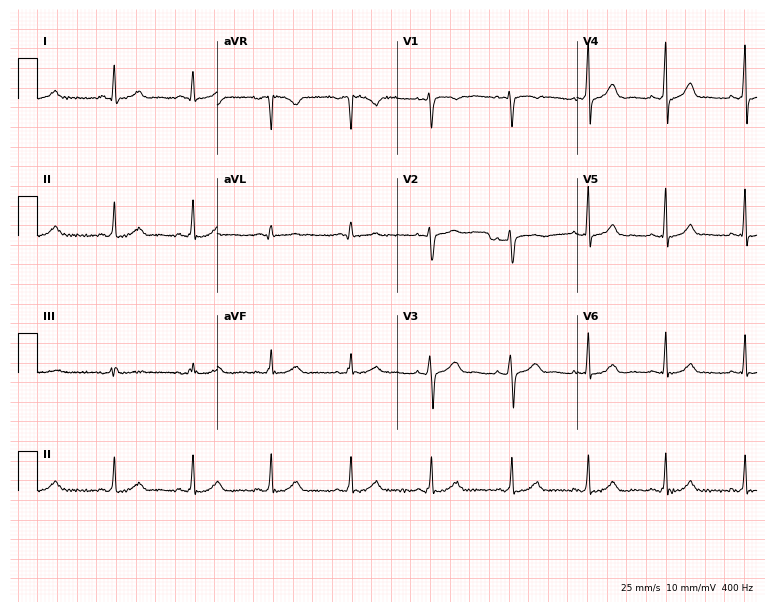
12-lead ECG from a 36-year-old female (7.3-second recording at 400 Hz). Recorded interpretation: within normal limits.